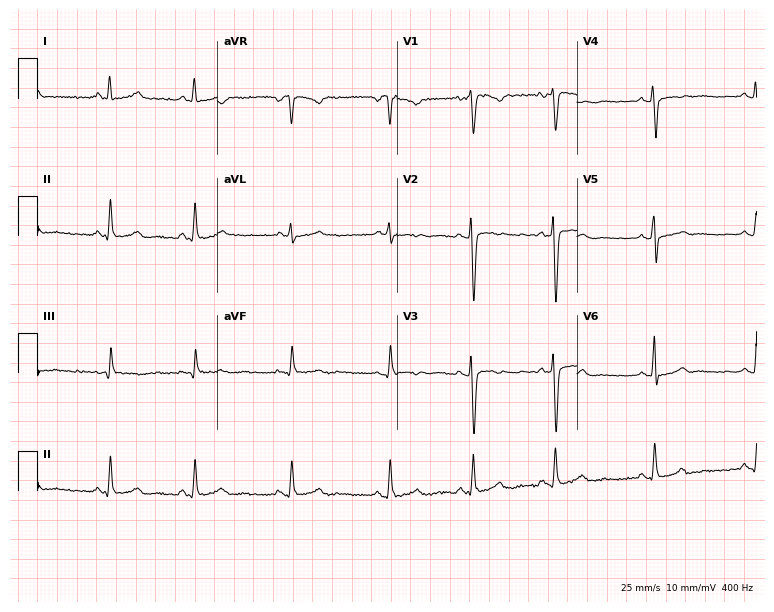
12-lead ECG from a 35-year-old woman. No first-degree AV block, right bundle branch block, left bundle branch block, sinus bradycardia, atrial fibrillation or sinus tachycardia recorded for this tracing.